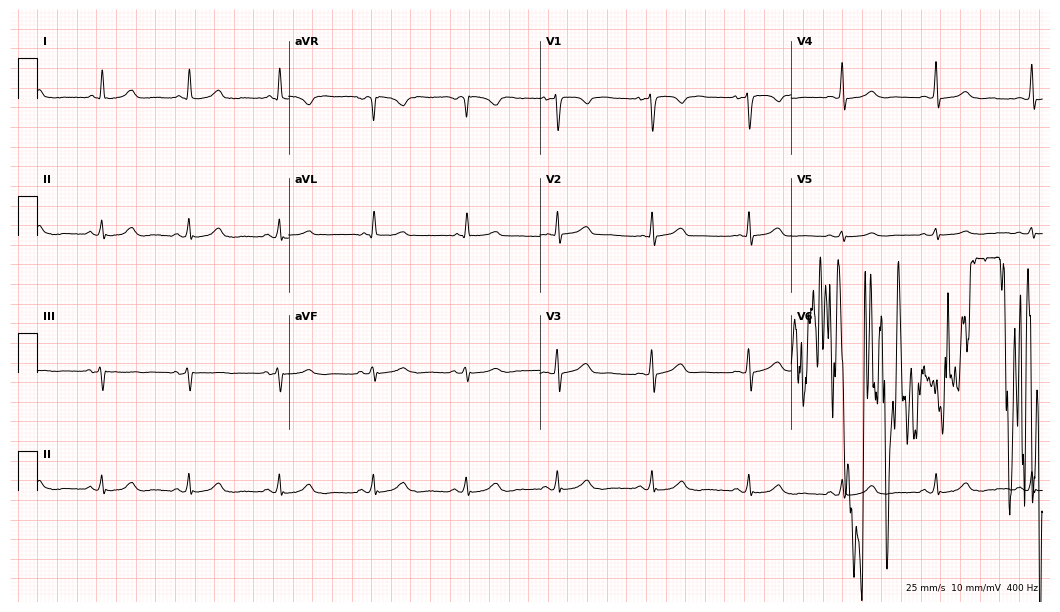
Resting 12-lead electrocardiogram (10.2-second recording at 400 Hz). Patient: a 42-year-old female. None of these six findings is recorded: first-degree AV block, right bundle branch block, left bundle branch block, sinus bradycardia, atrial fibrillation, sinus tachycardia.